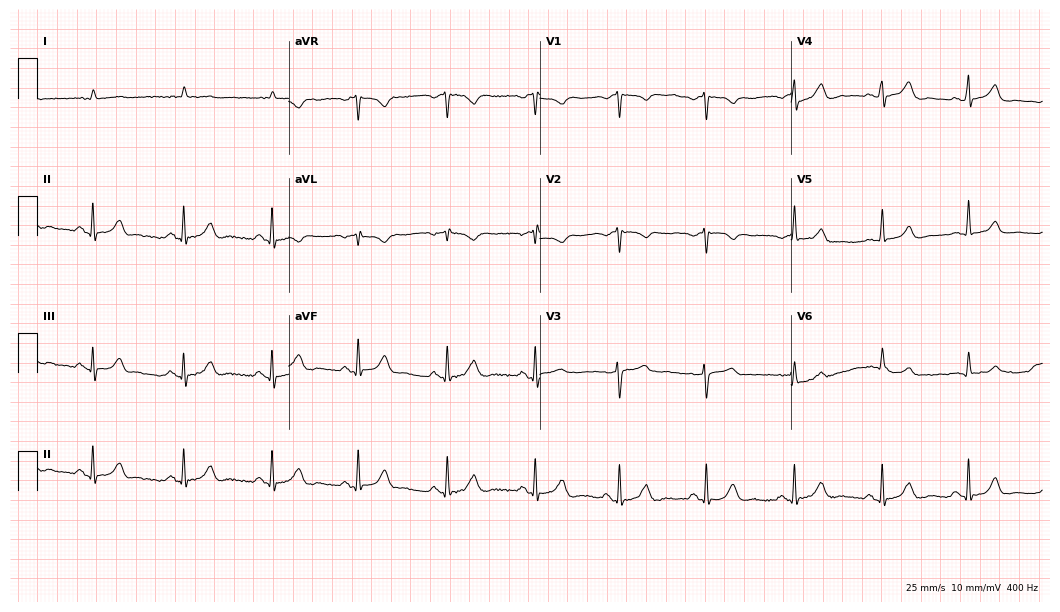
ECG (10.2-second recording at 400 Hz) — a man, 77 years old. Labelled as a normal ECG.